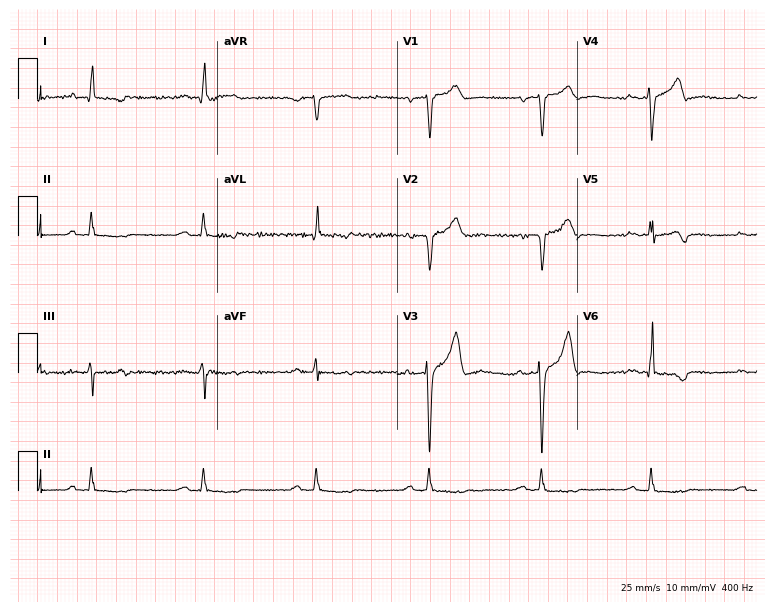
Standard 12-lead ECG recorded from a 73-year-old man (7.3-second recording at 400 Hz). None of these six findings is recorded: first-degree AV block, right bundle branch block (RBBB), left bundle branch block (LBBB), sinus bradycardia, atrial fibrillation (AF), sinus tachycardia.